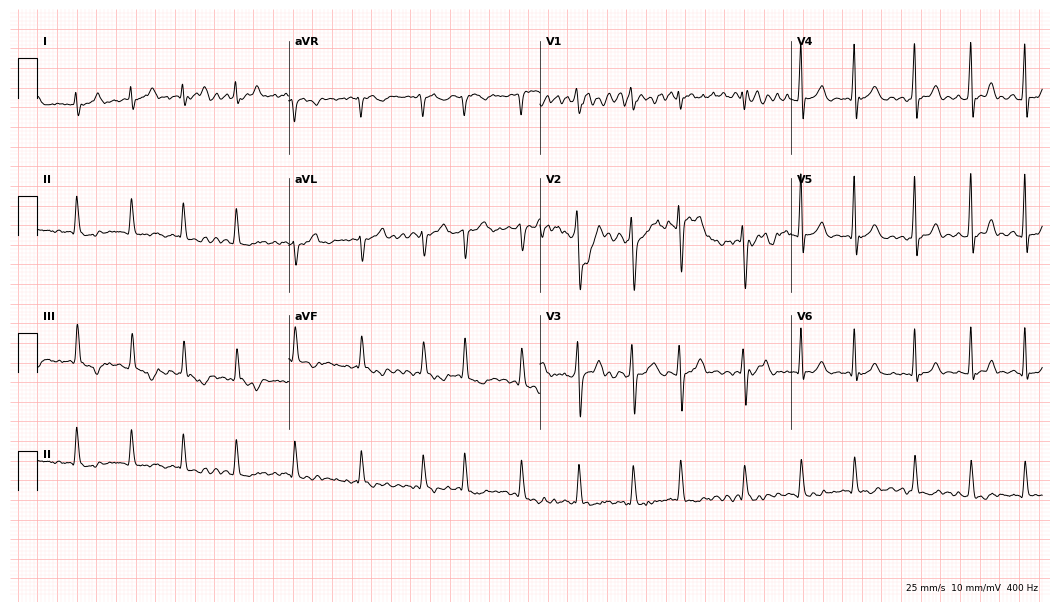
ECG — a 56-year-old male patient. Findings include atrial fibrillation.